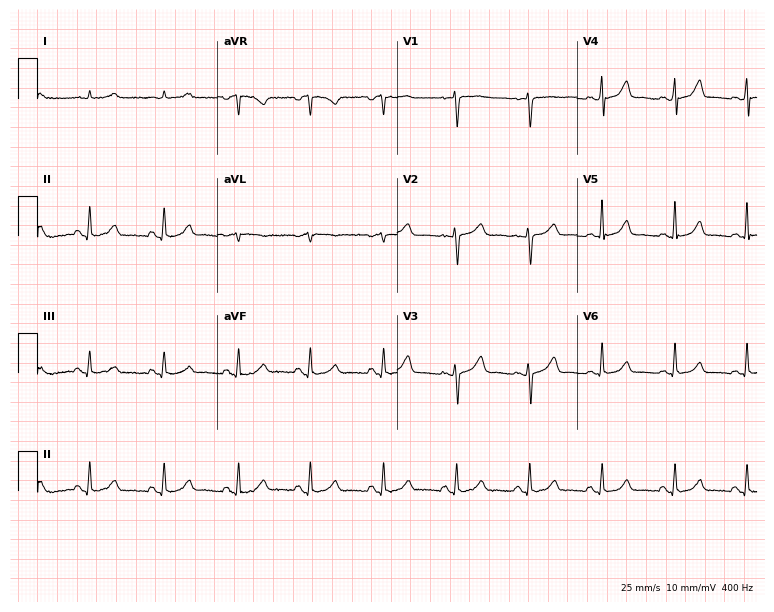
12-lead ECG (7.3-second recording at 400 Hz) from a woman, 54 years old. Labelled as a normal ECG.